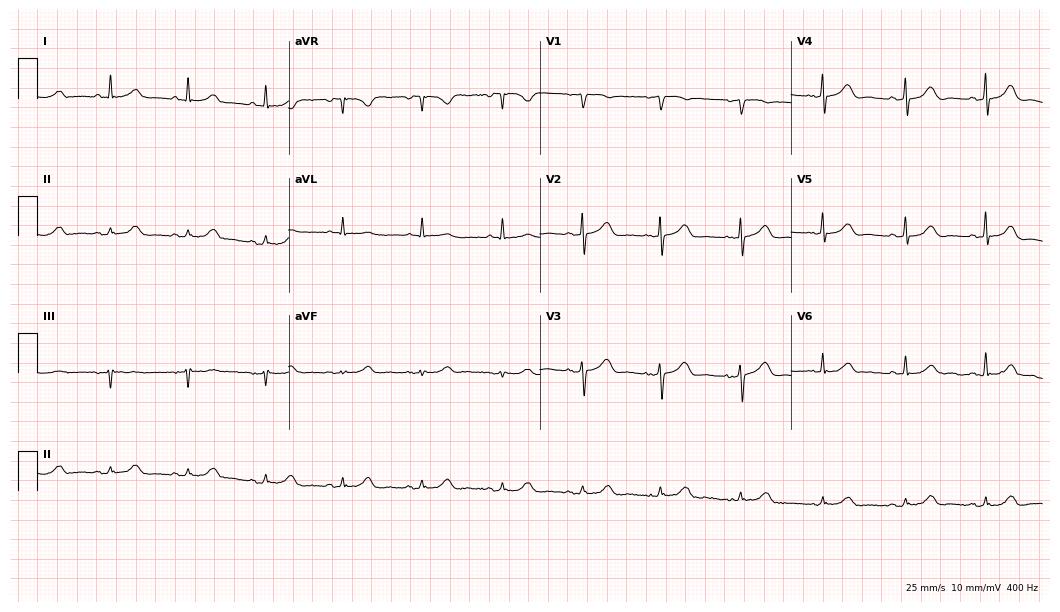
12-lead ECG from an 84-year-old woman (10.2-second recording at 400 Hz). No first-degree AV block, right bundle branch block, left bundle branch block, sinus bradycardia, atrial fibrillation or sinus tachycardia recorded for this tracing.